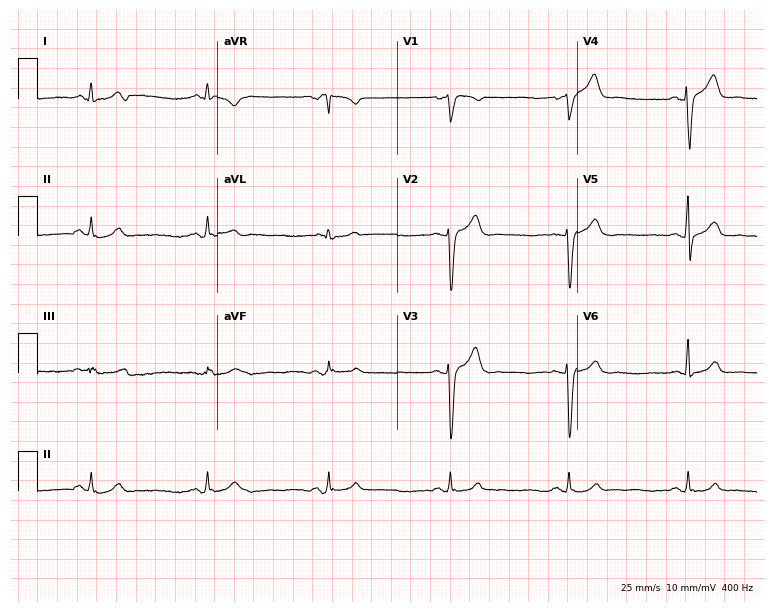
Standard 12-lead ECG recorded from a man, 49 years old. The tracing shows sinus bradycardia (a sinus rate of 50 beats per minute or less).